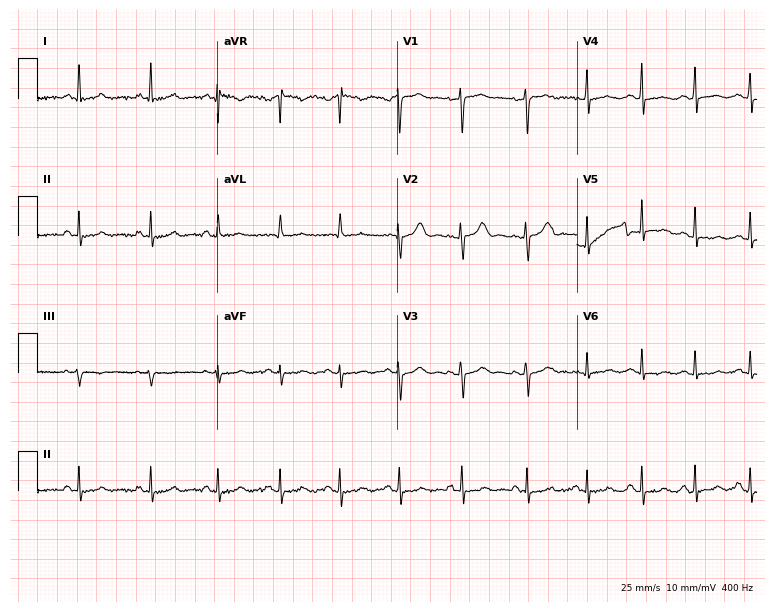
Standard 12-lead ECG recorded from a 35-year-old female (7.3-second recording at 400 Hz). None of these six findings is recorded: first-degree AV block, right bundle branch block, left bundle branch block, sinus bradycardia, atrial fibrillation, sinus tachycardia. Other findings, if any, are not listed.